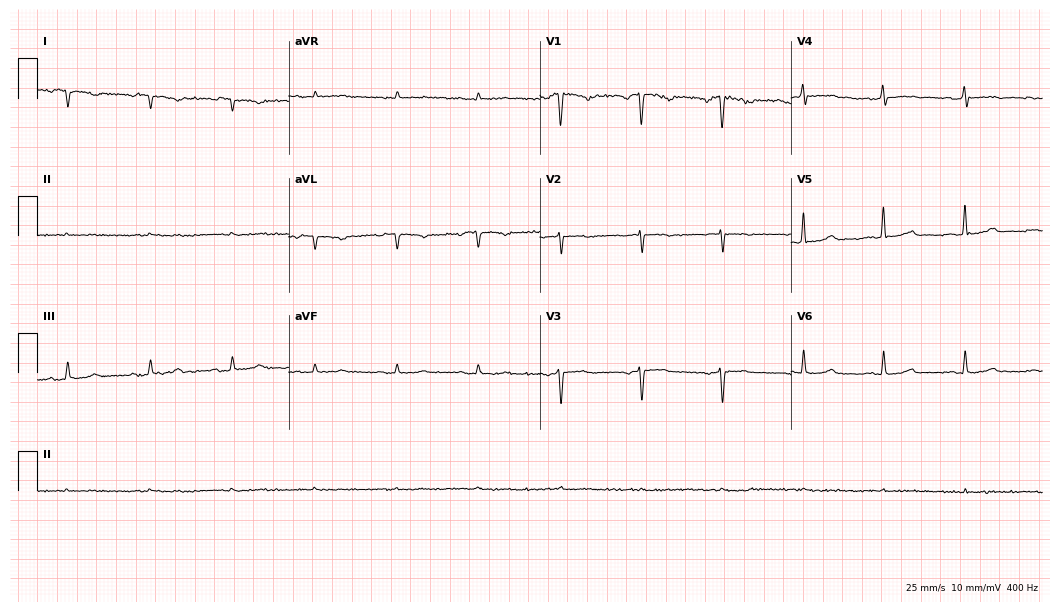
12-lead ECG from a male patient, 72 years old. No first-degree AV block, right bundle branch block, left bundle branch block, sinus bradycardia, atrial fibrillation or sinus tachycardia recorded for this tracing.